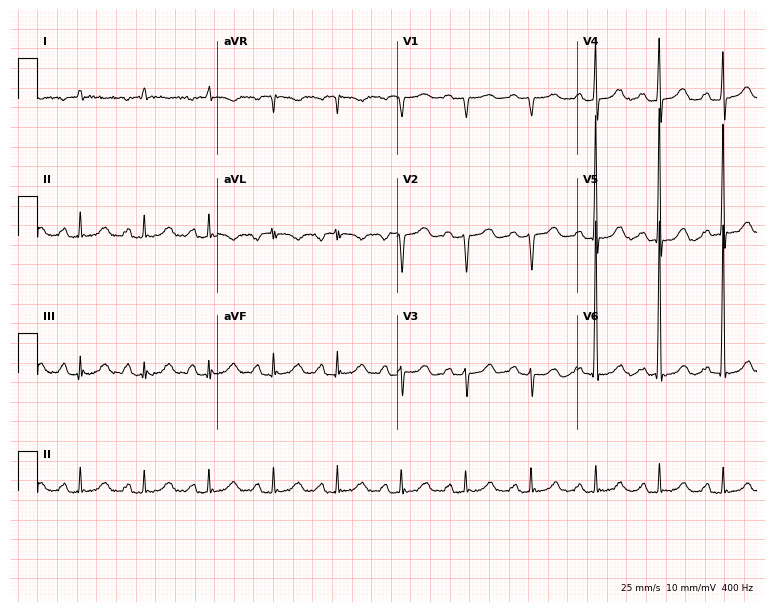
Standard 12-lead ECG recorded from a 69-year-old woman (7.3-second recording at 400 Hz). None of these six findings is recorded: first-degree AV block, right bundle branch block (RBBB), left bundle branch block (LBBB), sinus bradycardia, atrial fibrillation (AF), sinus tachycardia. Other findings, if any, are not listed.